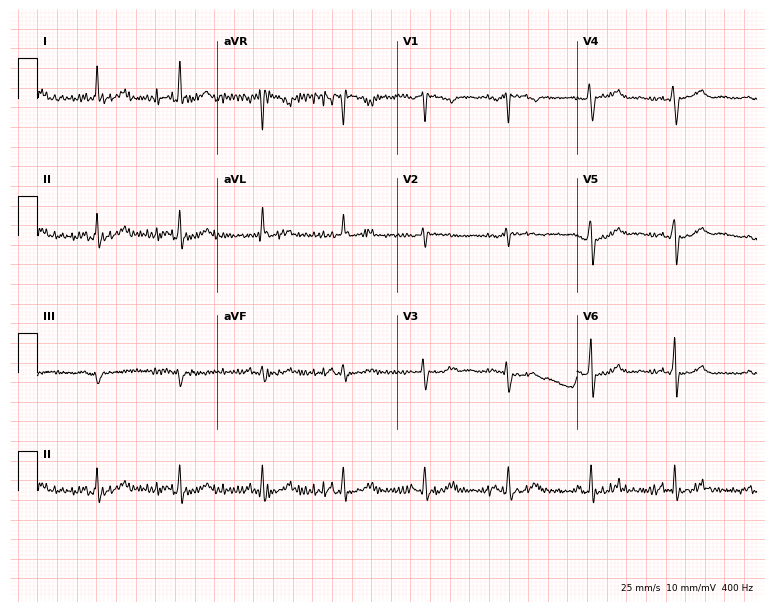
12-lead ECG from a 55-year-old female patient. Screened for six findings — first-degree AV block, right bundle branch block, left bundle branch block, sinus bradycardia, atrial fibrillation, sinus tachycardia — none is recorded.